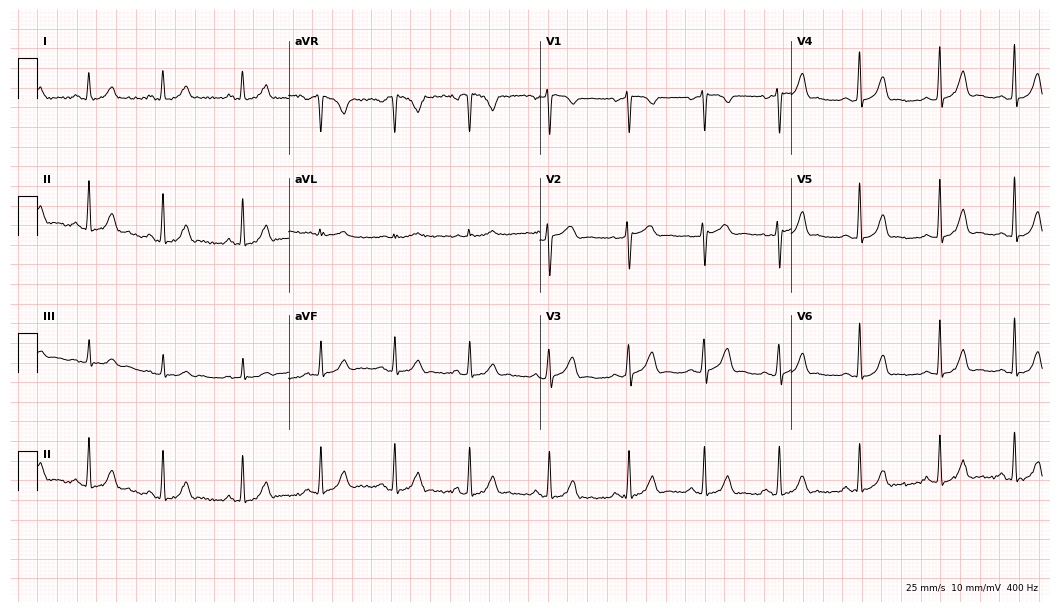
12-lead ECG from a 29-year-old female. Labelled as a normal ECG.